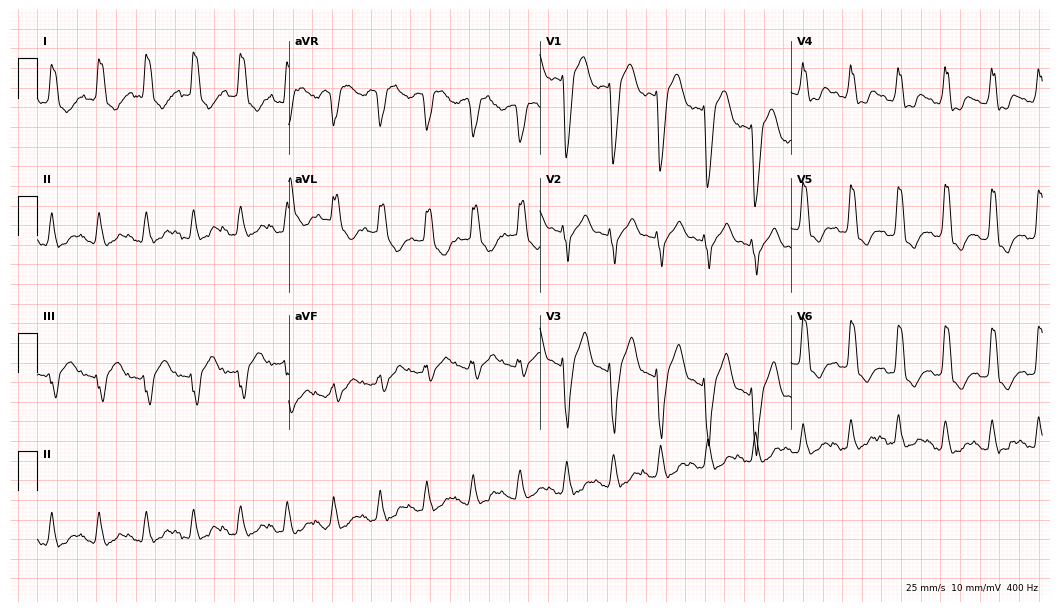
Standard 12-lead ECG recorded from a 65-year-old woman. The tracing shows left bundle branch block (LBBB), sinus tachycardia (a sinus rate of 100 beats per minute or more).